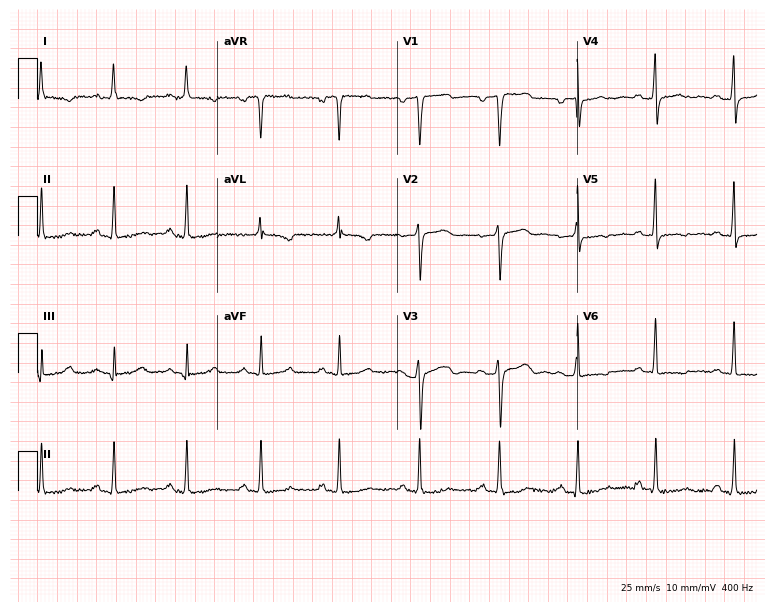
12-lead ECG from a 69-year-old female. Screened for six findings — first-degree AV block, right bundle branch block, left bundle branch block, sinus bradycardia, atrial fibrillation, sinus tachycardia — none is recorded. Only these six findings were labelled.